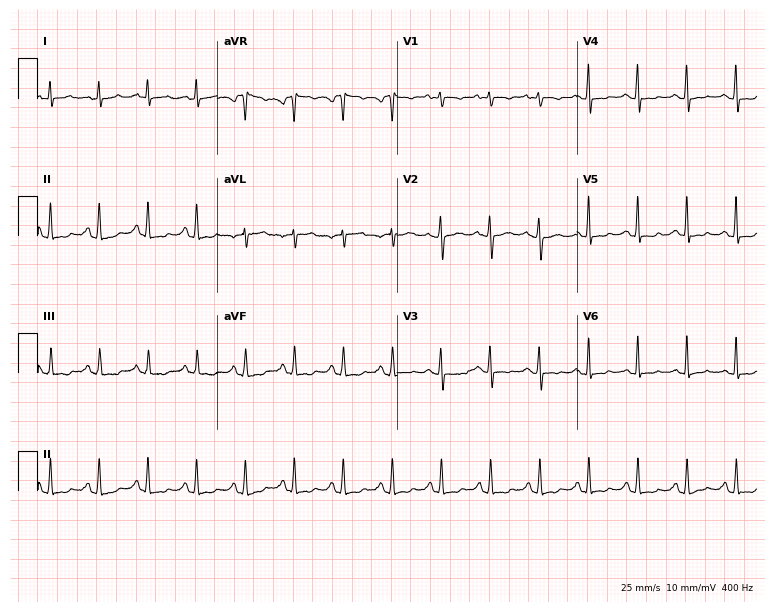
12-lead ECG (7.3-second recording at 400 Hz) from a woman, 33 years old. Findings include sinus tachycardia (a sinus rate of 100 beats per minute or more).